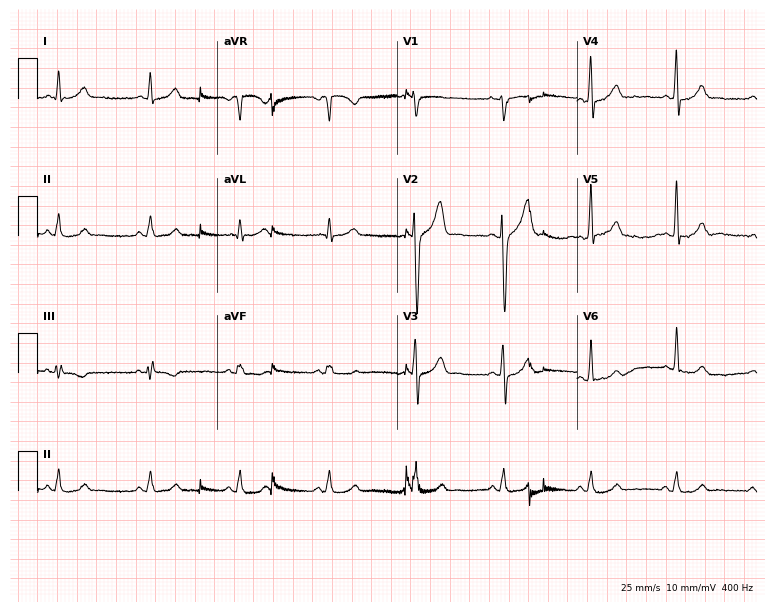
ECG (7.3-second recording at 400 Hz) — a 39-year-old male. Labelled as a normal ECG.